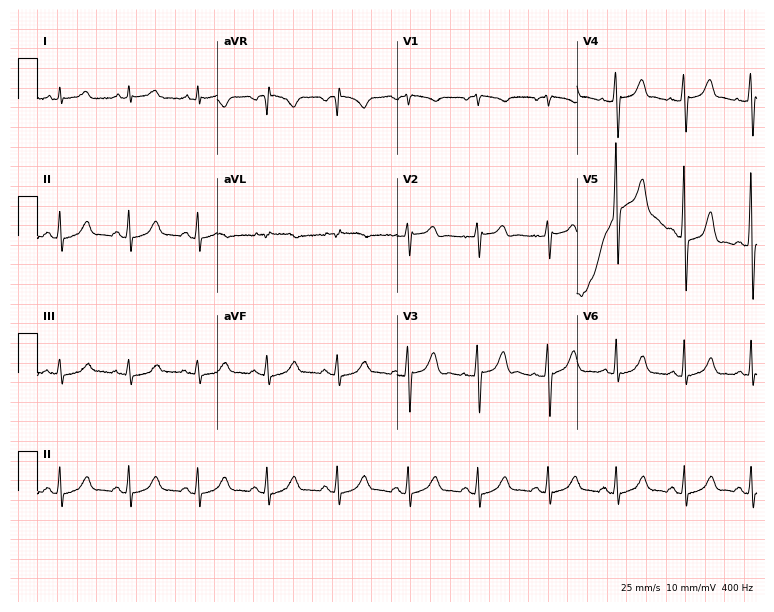
ECG — a 54-year-old man. Screened for six findings — first-degree AV block, right bundle branch block, left bundle branch block, sinus bradycardia, atrial fibrillation, sinus tachycardia — none is recorded.